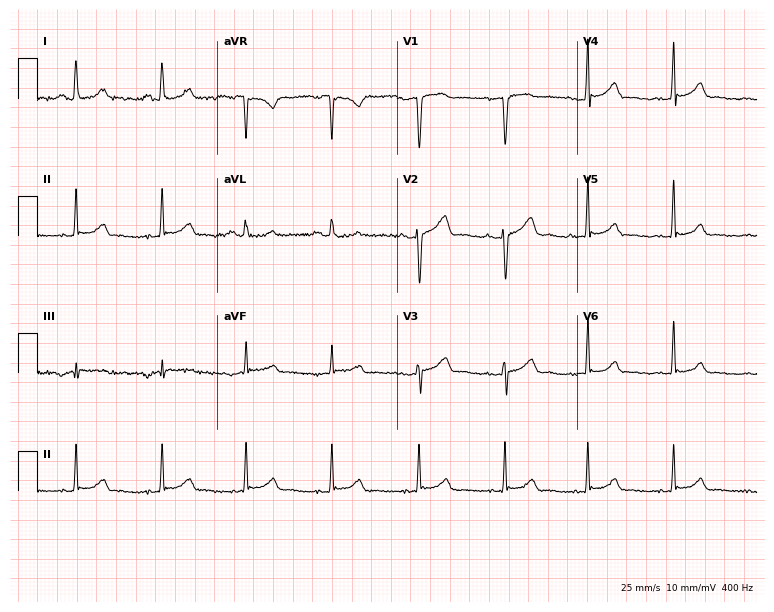
Resting 12-lead electrocardiogram (7.3-second recording at 400 Hz). Patient: a female, 39 years old. Read as a normal ECG.